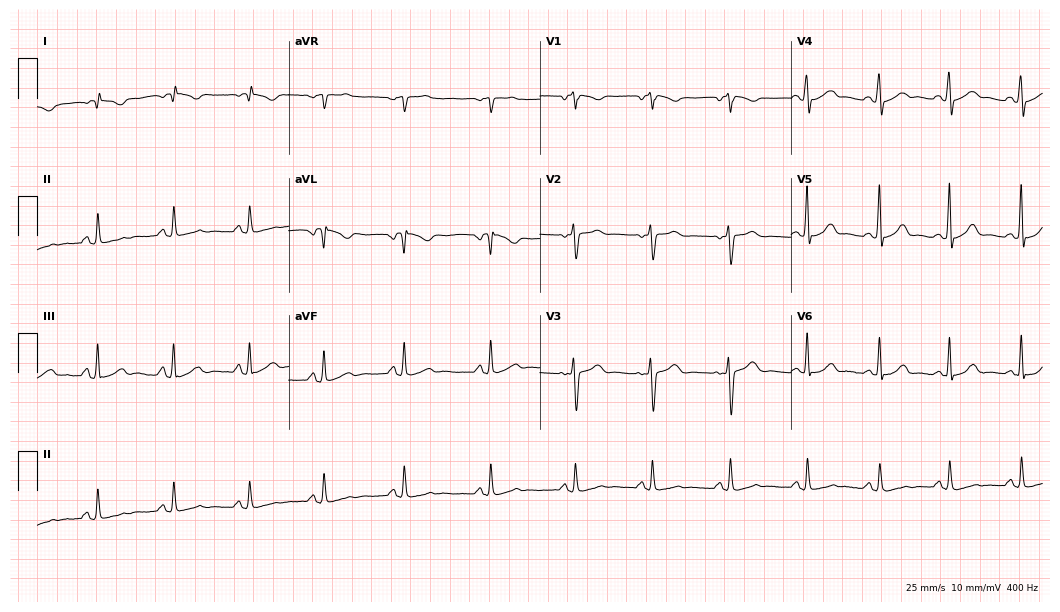
ECG (10.2-second recording at 400 Hz) — a female patient, 23 years old. Screened for six findings — first-degree AV block, right bundle branch block (RBBB), left bundle branch block (LBBB), sinus bradycardia, atrial fibrillation (AF), sinus tachycardia — none is recorded. Other findings, if any, are not listed.